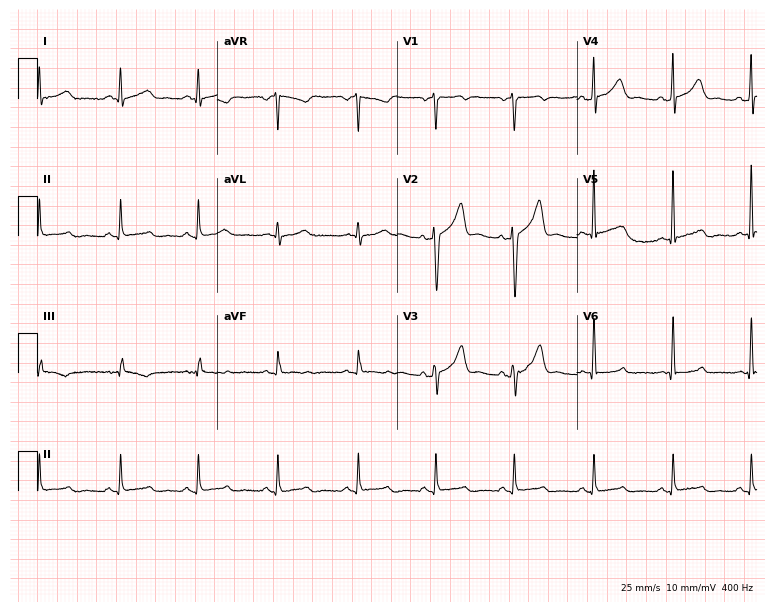
Resting 12-lead electrocardiogram (7.3-second recording at 400 Hz). Patient: a 34-year-old male. Read as a normal ECG.